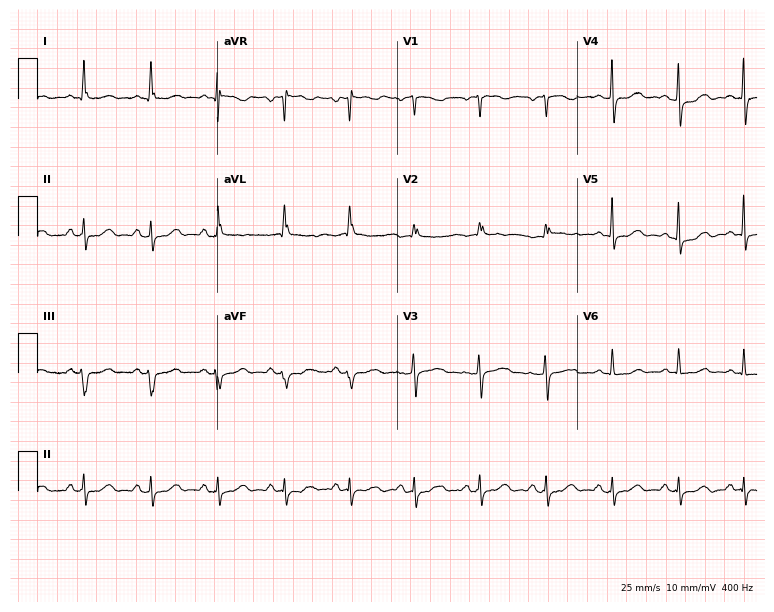
Resting 12-lead electrocardiogram (7.3-second recording at 400 Hz). Patient: a woman, 50 years old. Read as a normal ECG.